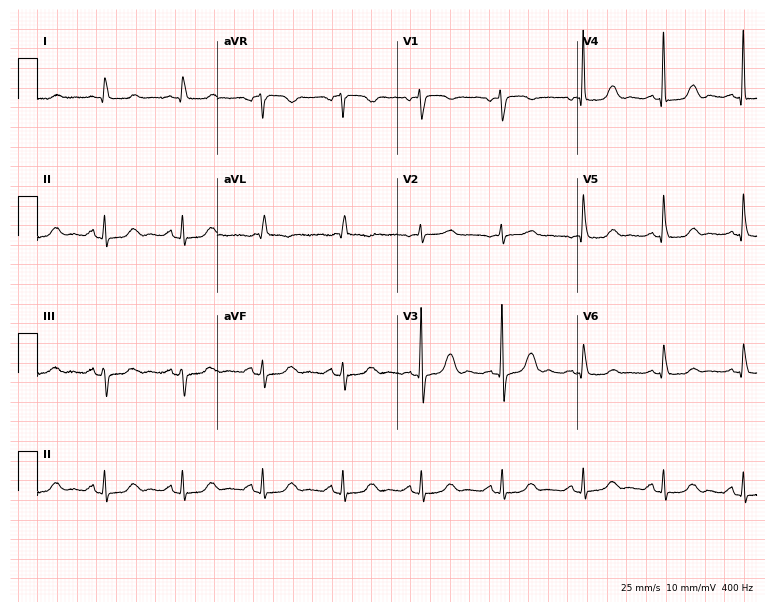
12-lead ECG from a female, 72 years old. Recorded interpretation: within normal limits.